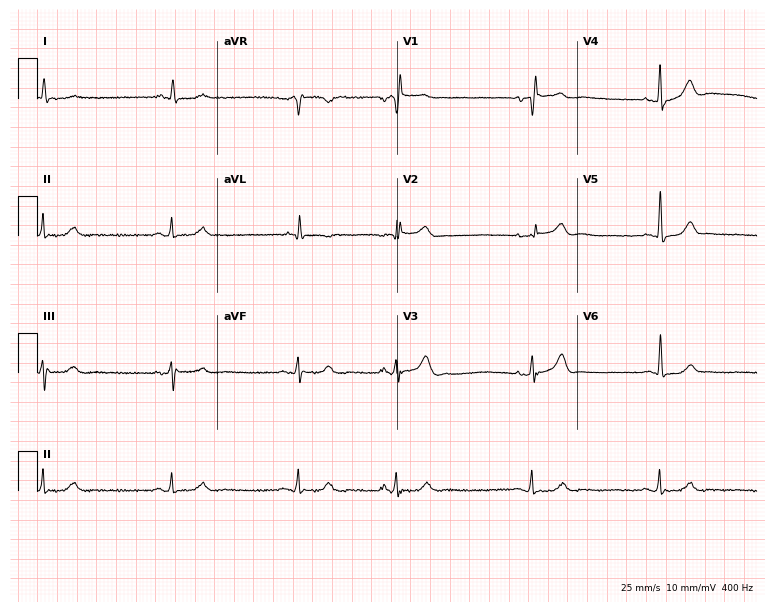
Resting 12-lead electrocardiogram. Patient: a male, 85 years old. The tracing shows right bundle branch block, sinus bradycardia (a sinus rate of 50 beats per minute or less).